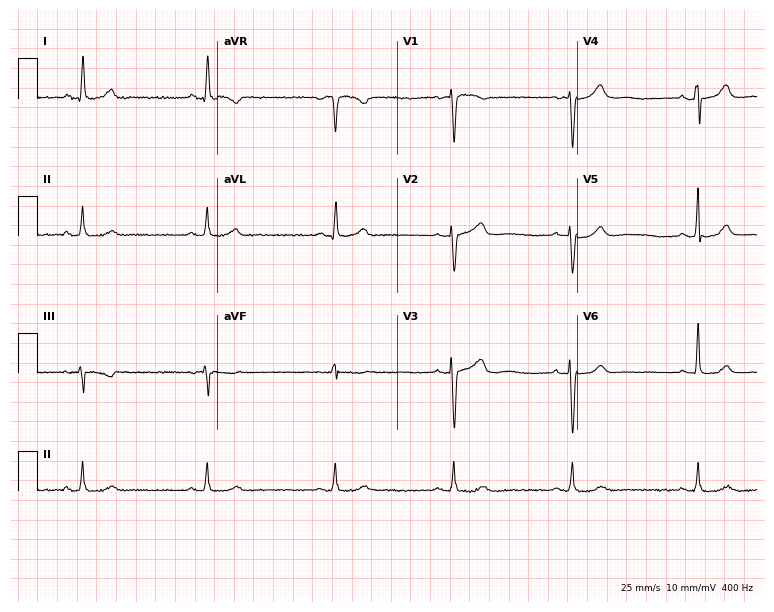
12-lead ECG (7.3-second recording at 400 Hz) from a 54-year-old woman. Findings include sinus bradycardia (a sinus rate of 50 beats per minute or less).